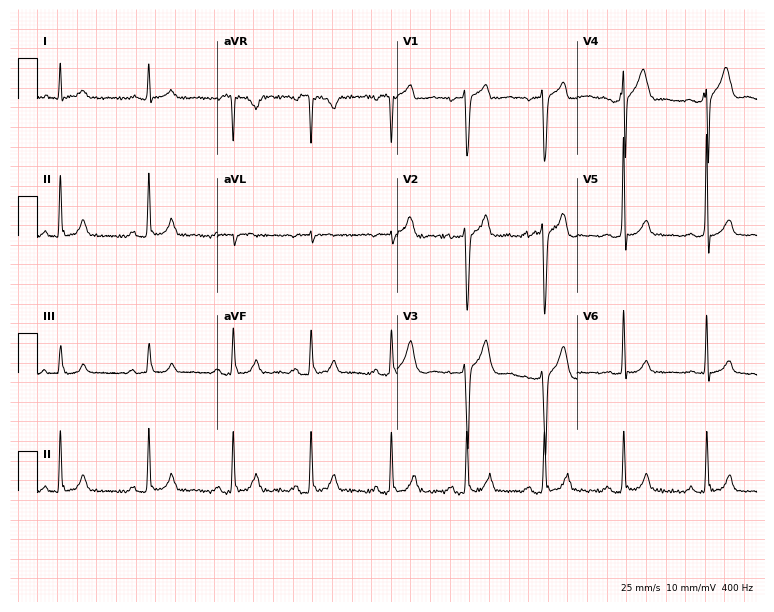
ECG — a female, 26 years old. Screened for six findings — first-degree AV block, right bundle branch block, left bundle branch block, sinus bradycardia, atrial fibrillation, sinus tachycardia — none is recorded.